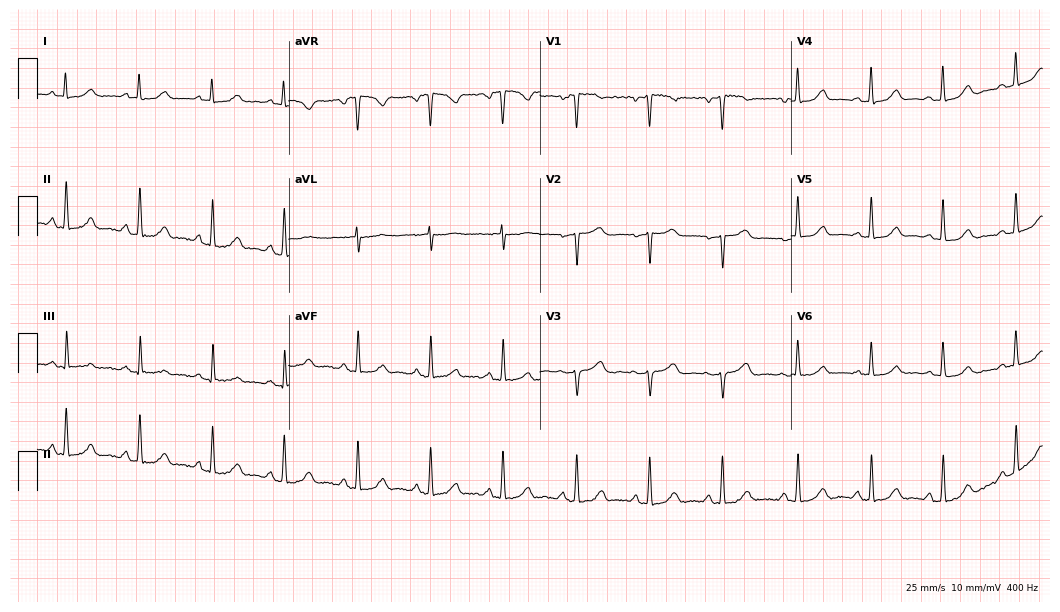
12-lead ECG from a female patient, 44 years old (10.2-second recording at 400 Hz). No first-degree AV block, right bundle branch block (RBBB), left bundle branch block (LBBB), sinus bradycardia, atrial fibrillation (AF) or sinus tachycardia recorded for this tracing. Only these six findings were labelled.